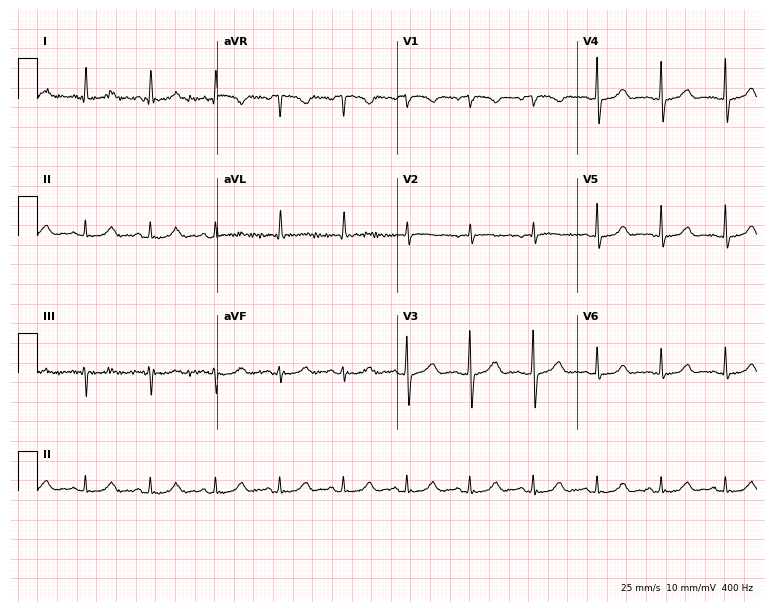
ECG (7.3-second recording at 400 Hz) — a woman, 46 years old. Labelled as a normal ECG.